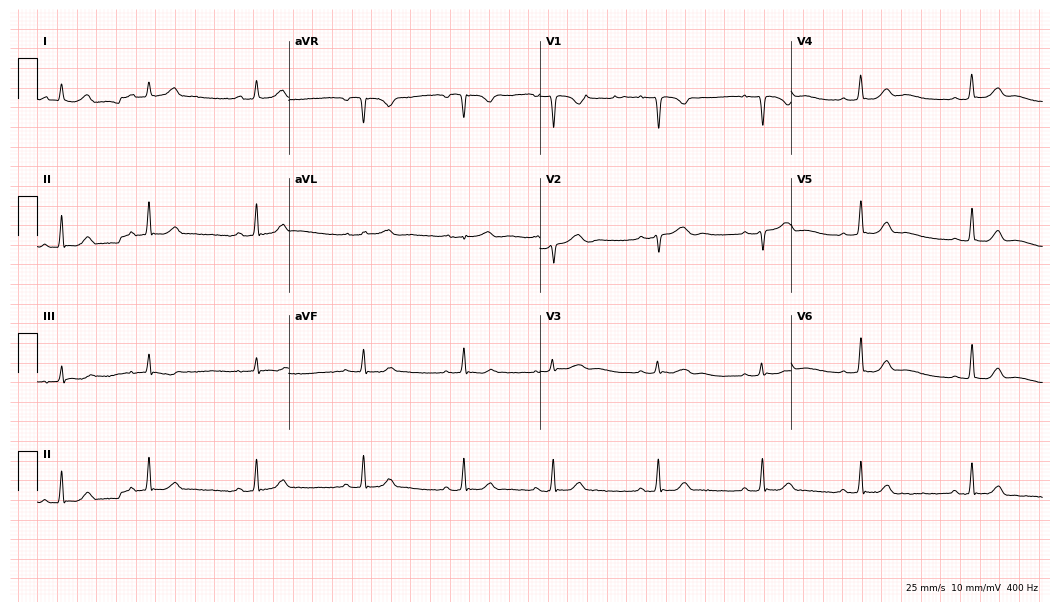
Standard 12-lead ECG recorded from a female patient, 29 years old. Read as a normal ECG.